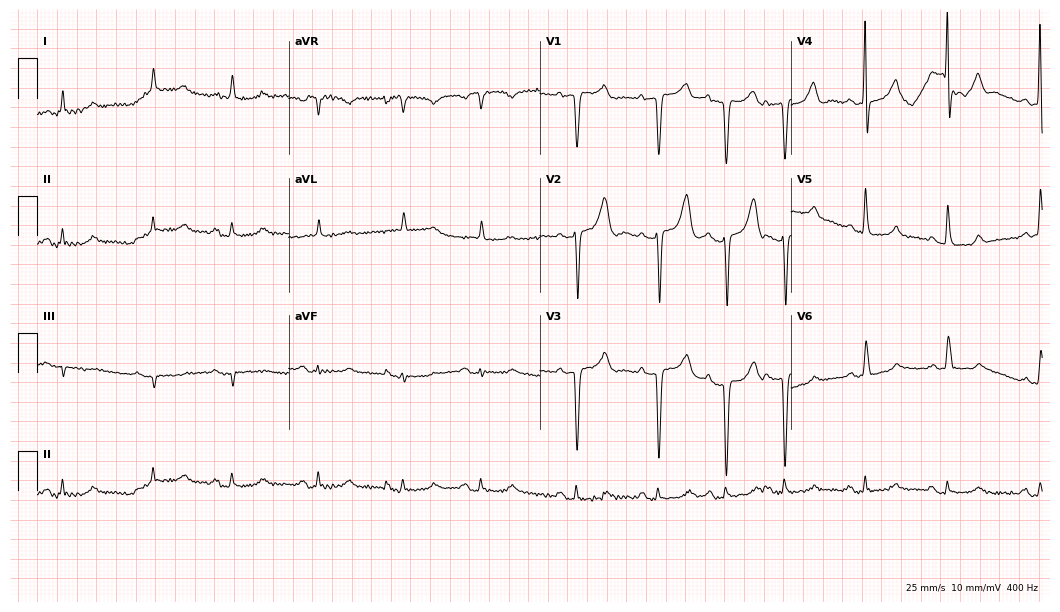
12-lead ECG from a female patient, 85 years old. Screened for six findings — first-degree AV block, right bundle branch block, left bundle branch block, sinus bradycardia, atrial fibrillation, sinus tachycardia — none is recorded. Other findings, if any, are not listed.